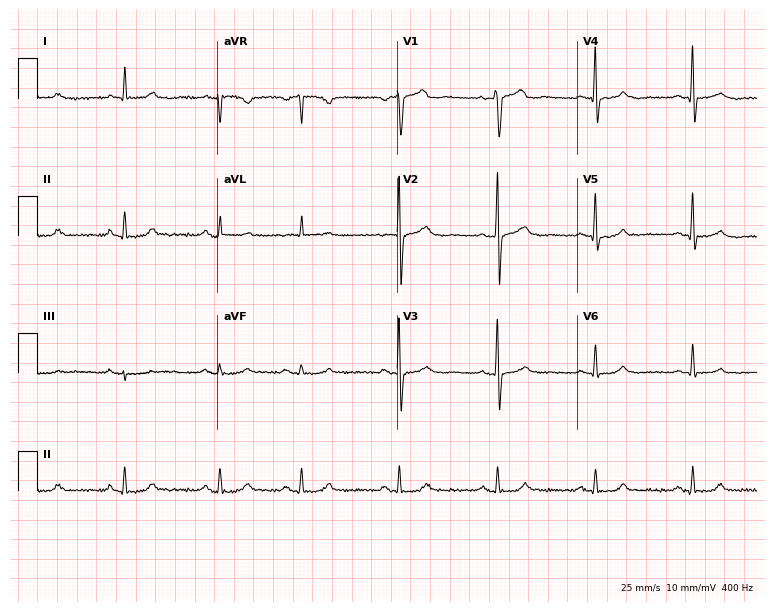
Electrocardiogram, a 69-year-old male. Overall reading on record: normal ECG.